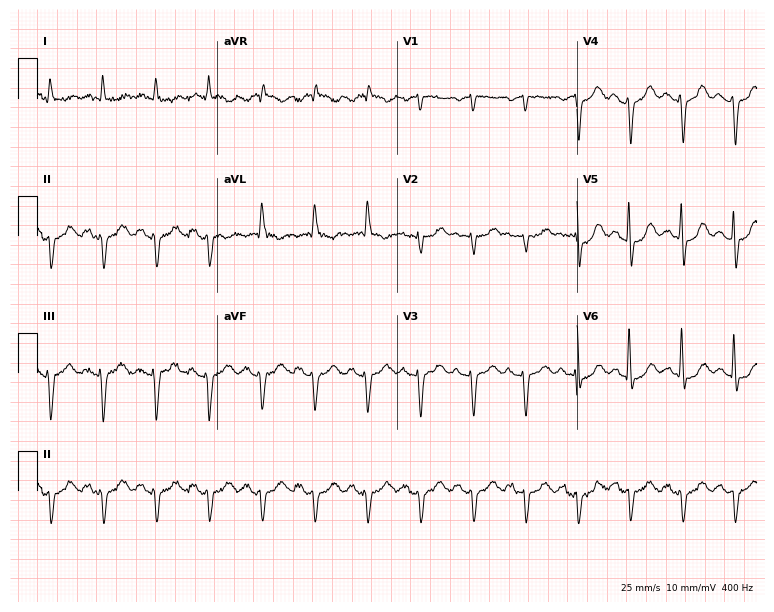
12-lead ECG from a female, 80 years old. Shows sinus tachycardia (a sinus rate of 100 beats per minute or more).